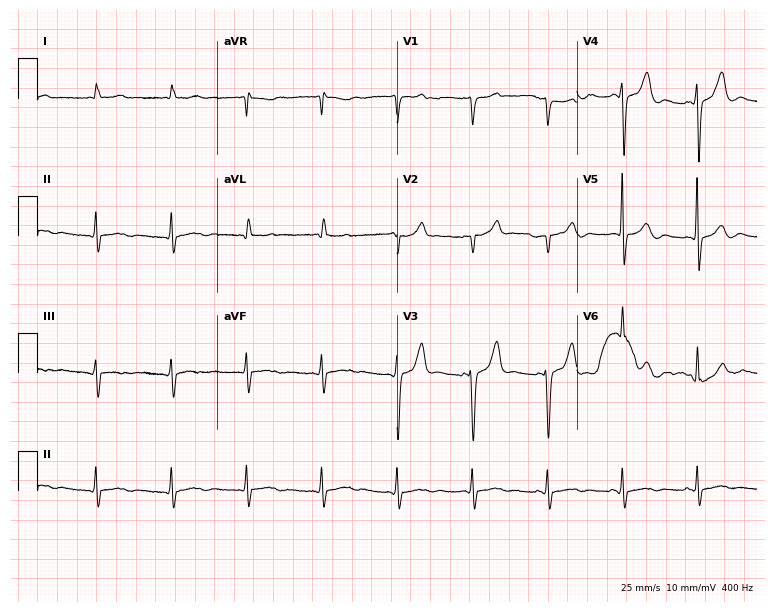
12-lead ECG (7.3-second recording at 400 Hz) from a male patient, 82 years old. Labelled as a normal ECG.